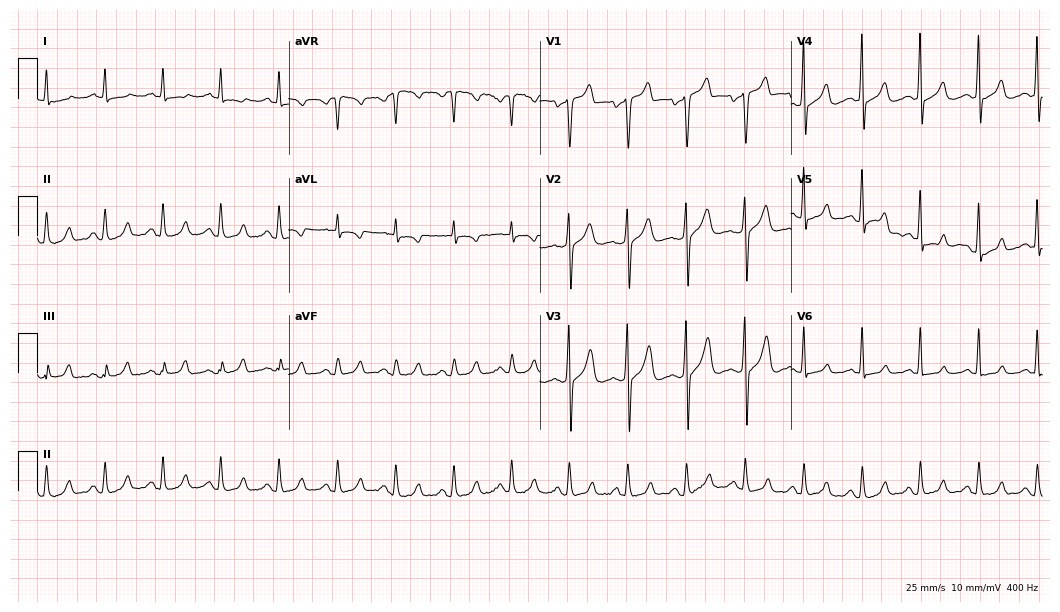
12-lead ECG (10.2-second recording at 400 Hz) from a male patient, 44 years old. Findings include sinus tachycardia (a sinus rate of 100 beats per minute or more).